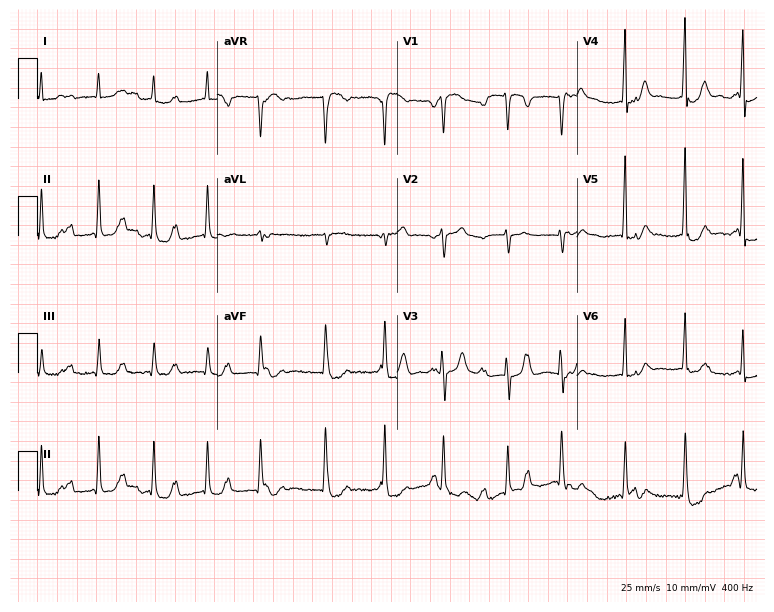
Electrocardiogram, an 81-year-old male. Interpretation includes atrial fibrillation, sinus tachycardia (a sinus rate of 100 beats per minute or more).